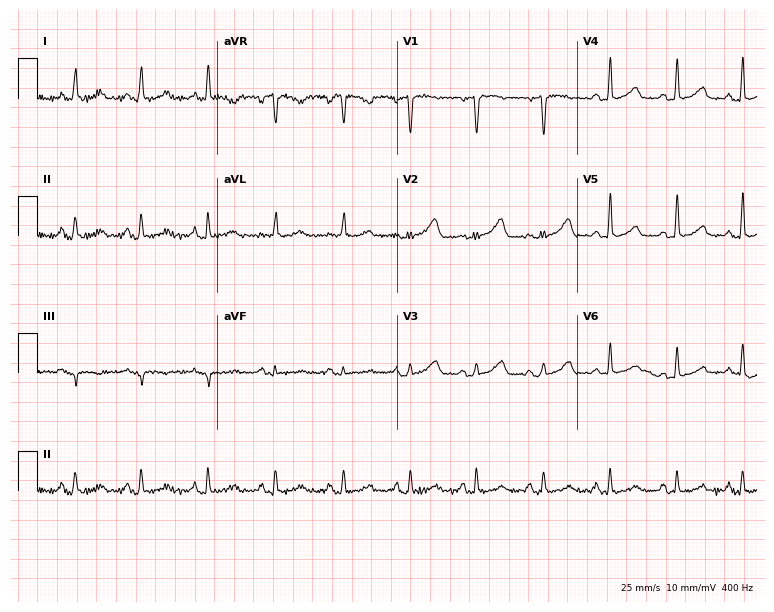
Electrocardiogram (7.3-second recording at 400 Hz), a woman, 78 years old. Overall reading on record: normal ECG.